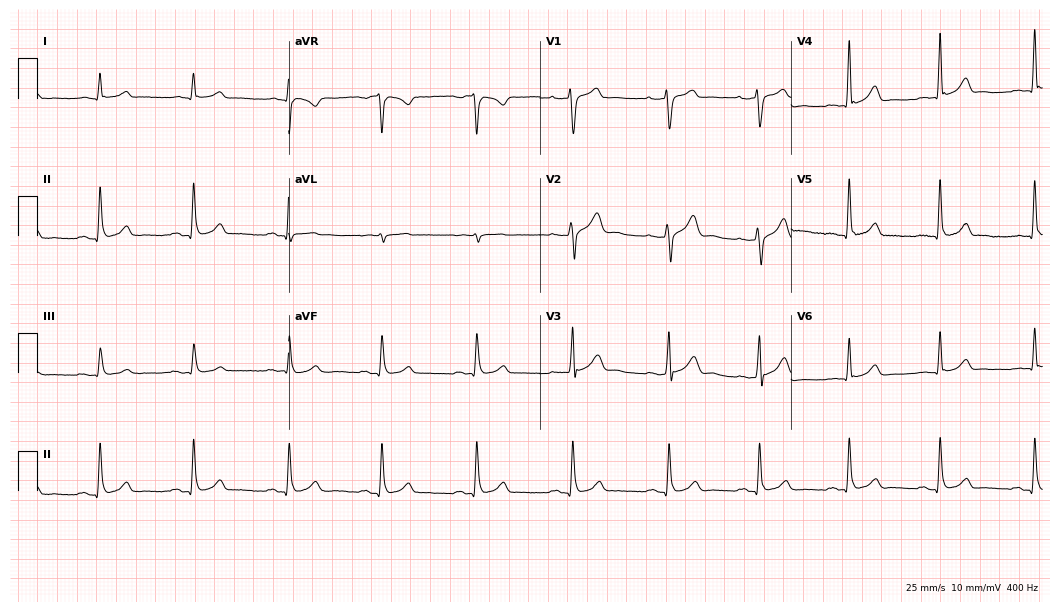
12-lead ECG from a 40-year-old man. Recorded interpretation: within normal limits.